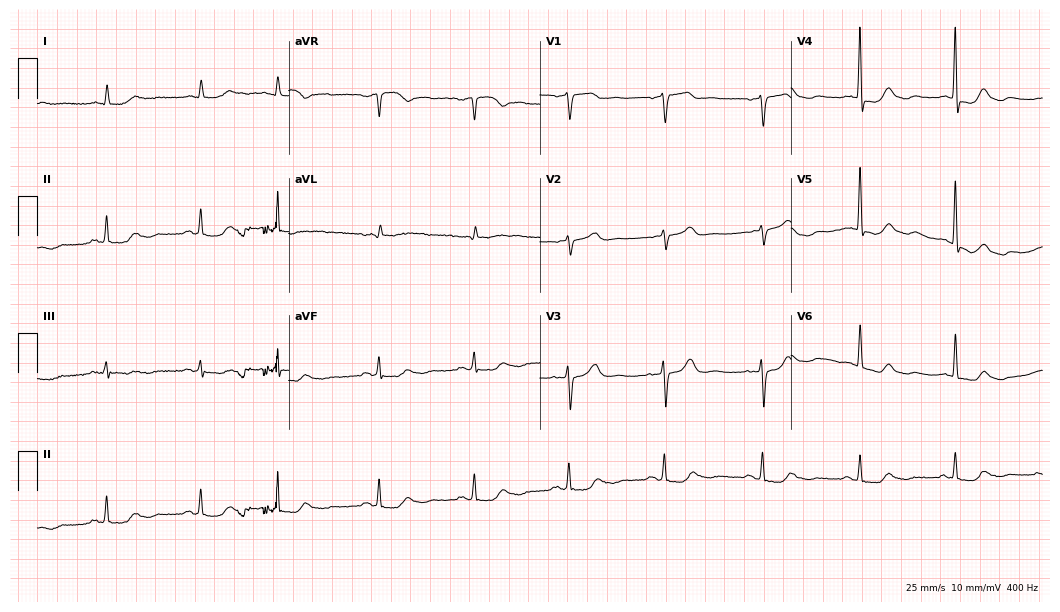
12-lead ECG from a 78-year-old female patient. No first-degree AV block, right bundle branch block, left bundle branch block, sinus bradycardia, atrial fibrillation or sinus tachycardia recorded for this tracing.